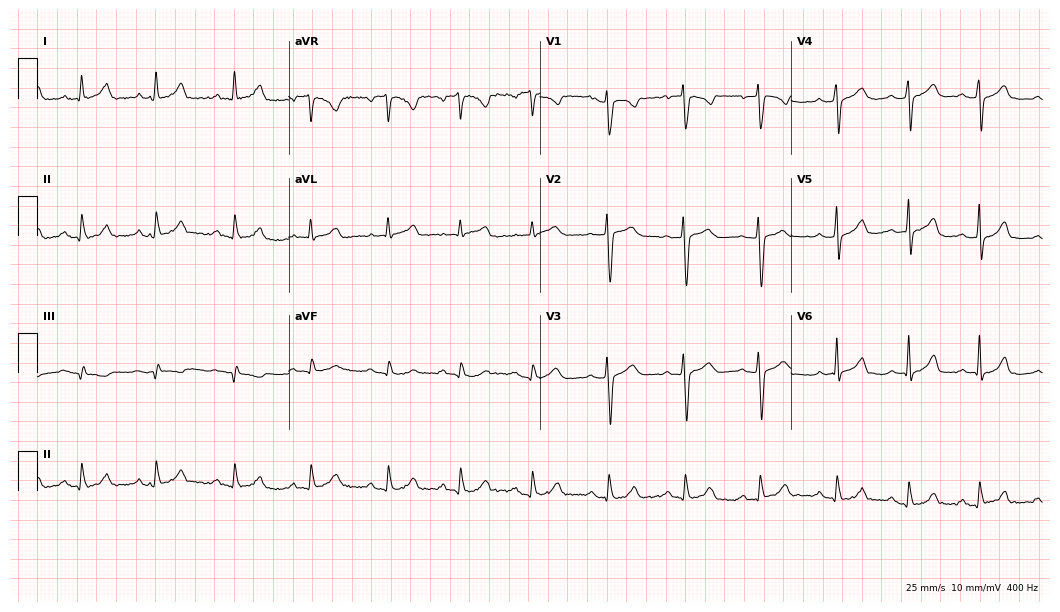
12-lead ECG (10.2-second recording at 400 Hz) from a female, 49 years old. Labelled as a normal ECG.